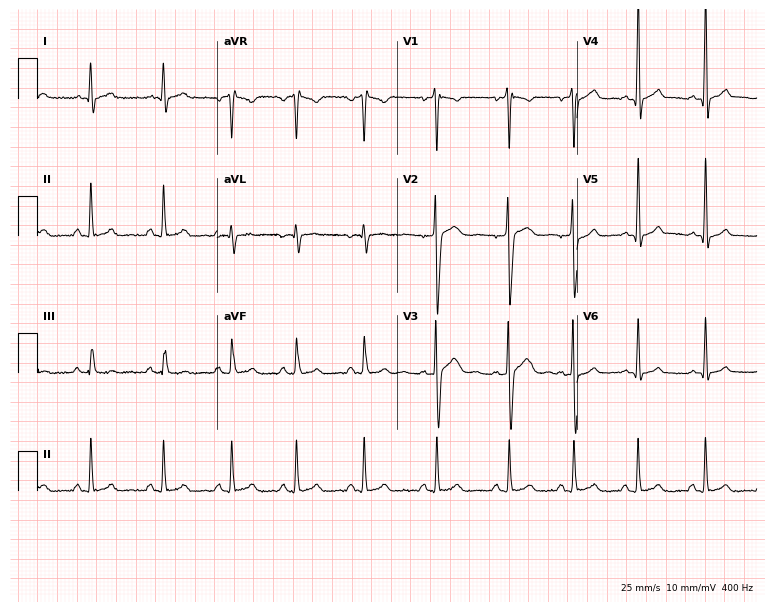
Resting 12-lead electrocardiogram. Patient: a 17-year-old male. Read as a normal ECG.